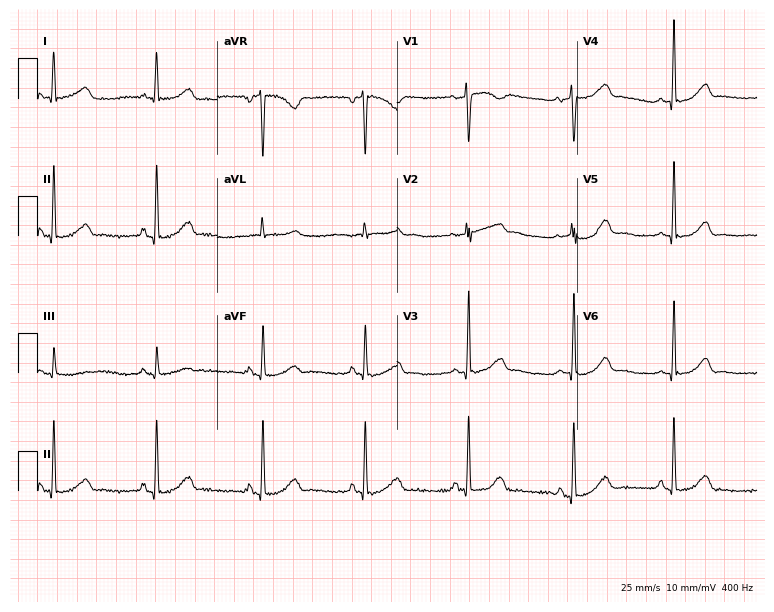
12-lead ECG (7.3-second recording at 400 Hz) from a 32-year-old female. Screened for six findings — first-degree AV block, right bundle branch block (RBBB), left bundle branch block (LBBB), sinus bradycardia, atrial fibrillation (AF), sinus tachycardia — none is recorded.